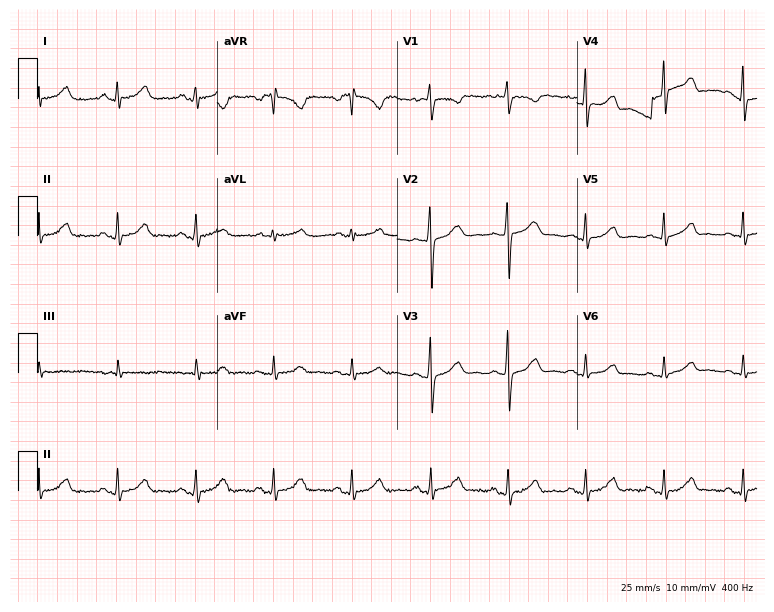
Electrocardiogram, a male, 37 years old. Overall reading on record: normal ECG.